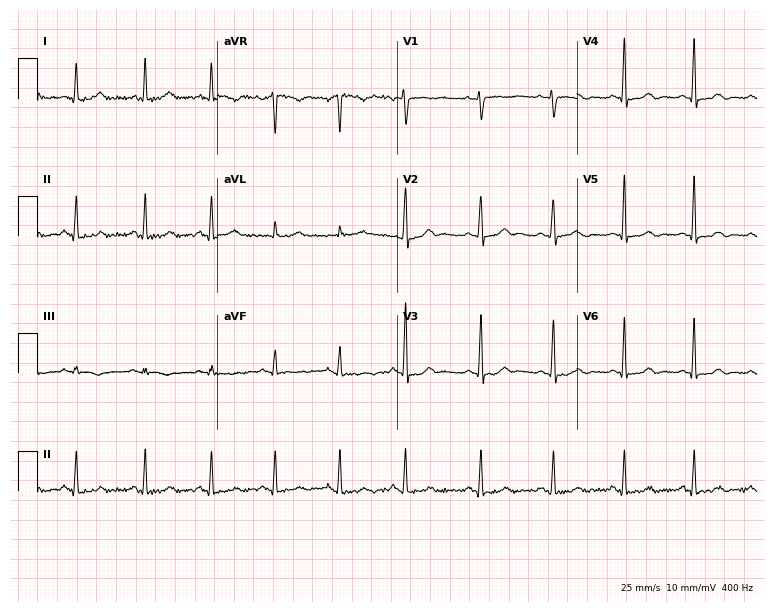
12-lead ECG from a female, 27 years old. Screened for six findings — first-degree AV block, right bundle branch block, left bundle branch block, sinus bradycardia, atrial fibrillation, sinus tachycardia — none is recorded.